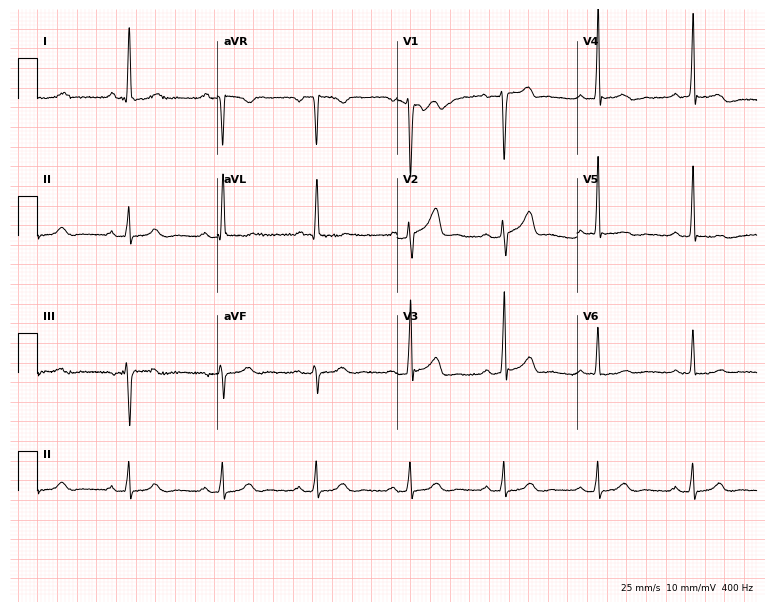
12-lead ECG from a 60-year-old male patient. Screened for six findings — first-degree AV block, right bundle branch block, left bundle branch block, sinus bradycardia, atrial fibrillation, sinus tachycardia — none is recorded.